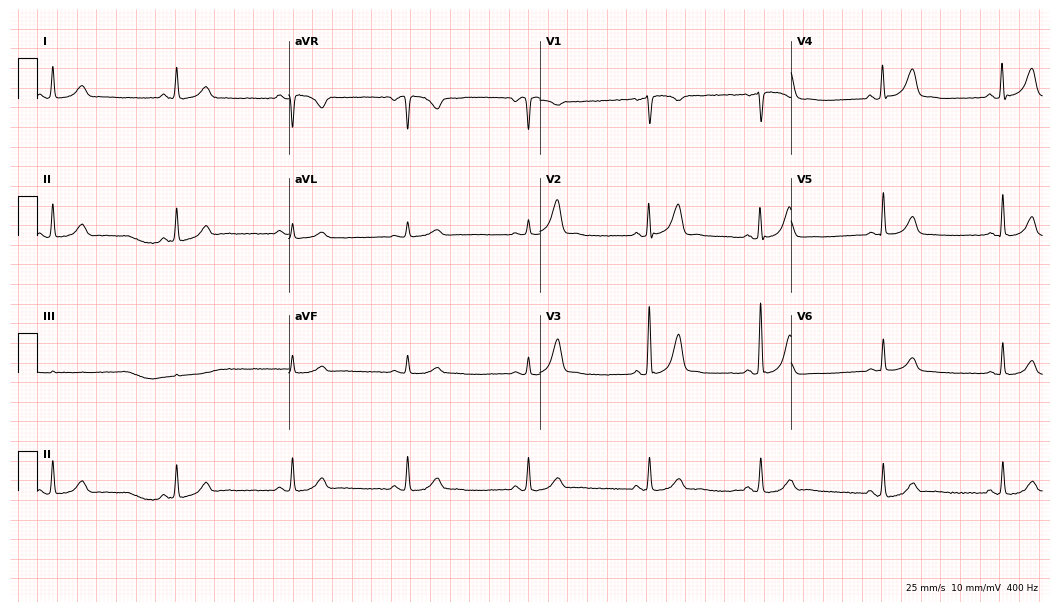
Standard 12-lead ECG recorded from a woman, 42 years old (10.2-second recording at 400 Hz). The tracing shows sinus bradycardia (a sinus rate of 50 beats per minute or less).